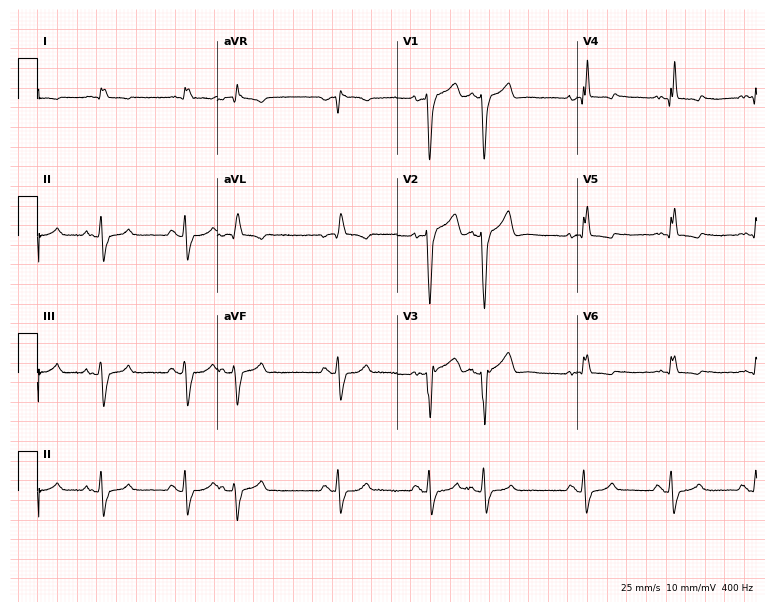
12-lead ECG from an 81-year-old man (7.3-second recording at 400 Hz). No first-degree AV block, right bundle branch block, left bundle branch block, sinus bradycardia, atrial fibrillation or sinus tachycardia recorded for this tracing.